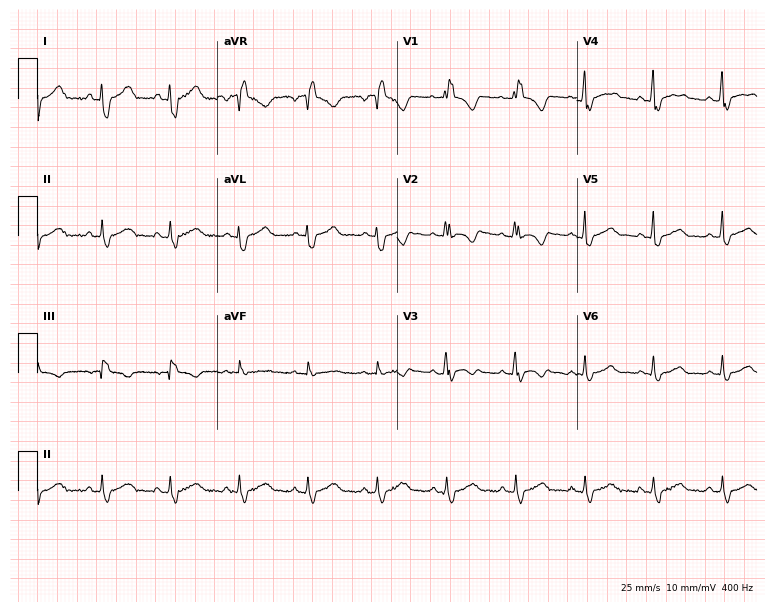
12-lead ECG from a female patient, 34 years old (7.3-second recording at 400 Hz). Shows right bundle branch block.